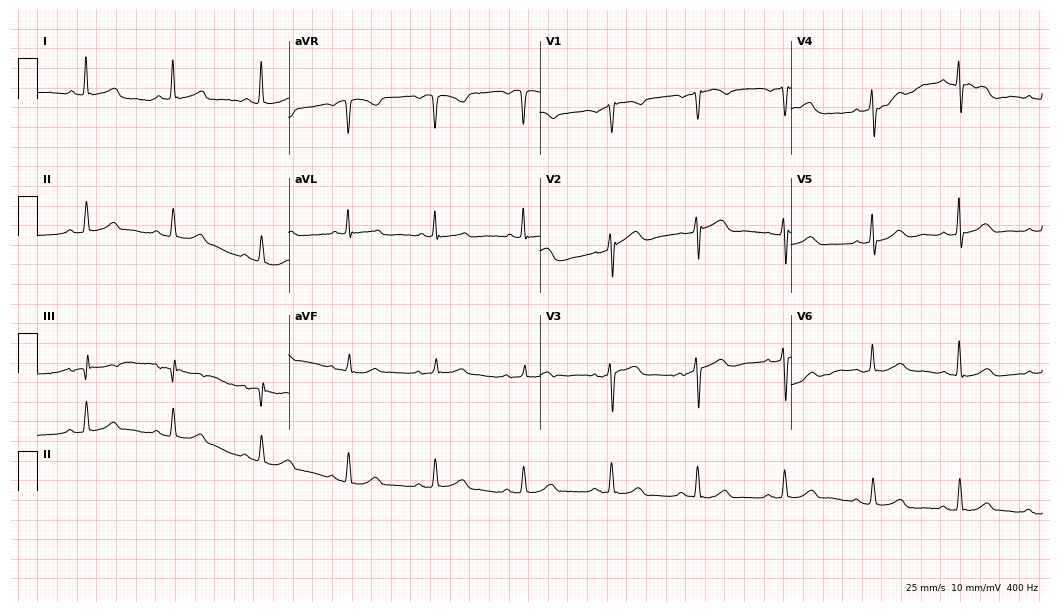
Resting 12-lead electrocardiogram (10.2-second recording at 400 Hz). Patient: a female, 67 years old. Read as a normal ECG.